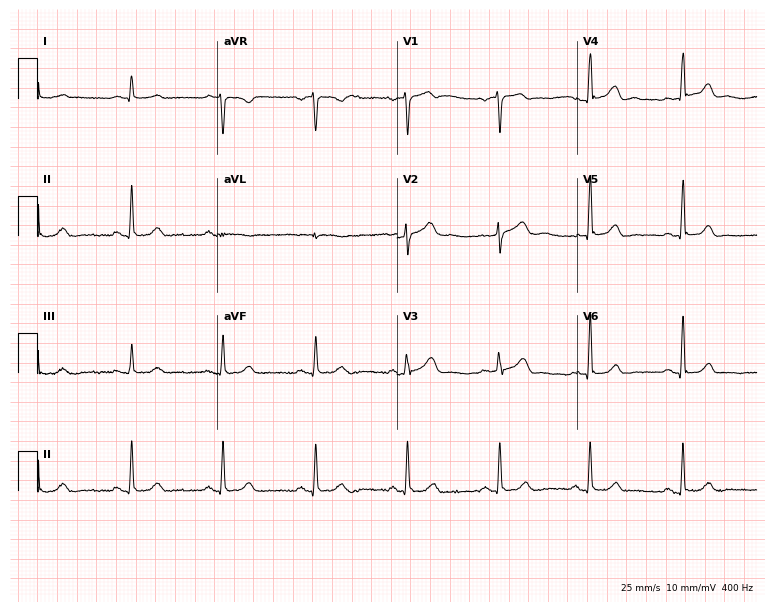
12-lead ECG from a female, 47 years old. Recorded interpretation: within normal limits.